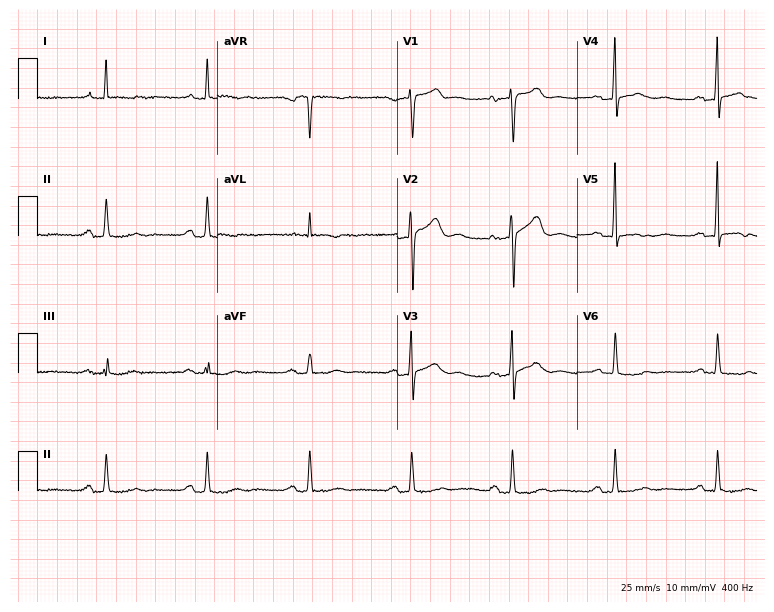
ECG — a male, 74 years old. Screened for six findings — first-degree AV block, right bundle branch block (RBBB), left bundle branch block (LBBB), sinus bradycardia, atrial fibrillation (AF), sinus tachycardia — none is recorded. Only these six findings were labelled.